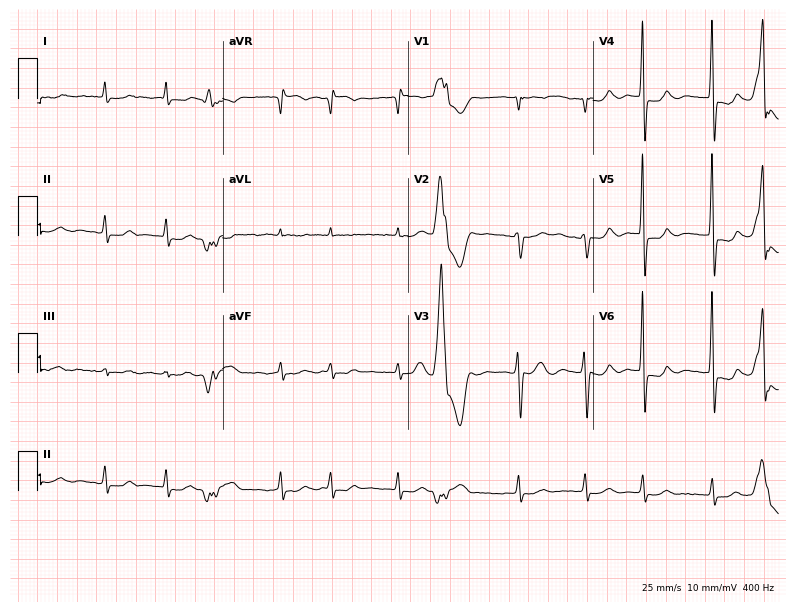
Standard 12-lead ECG recorded from a male patient, 77 years old. The tracing shows atrial fibrillation.